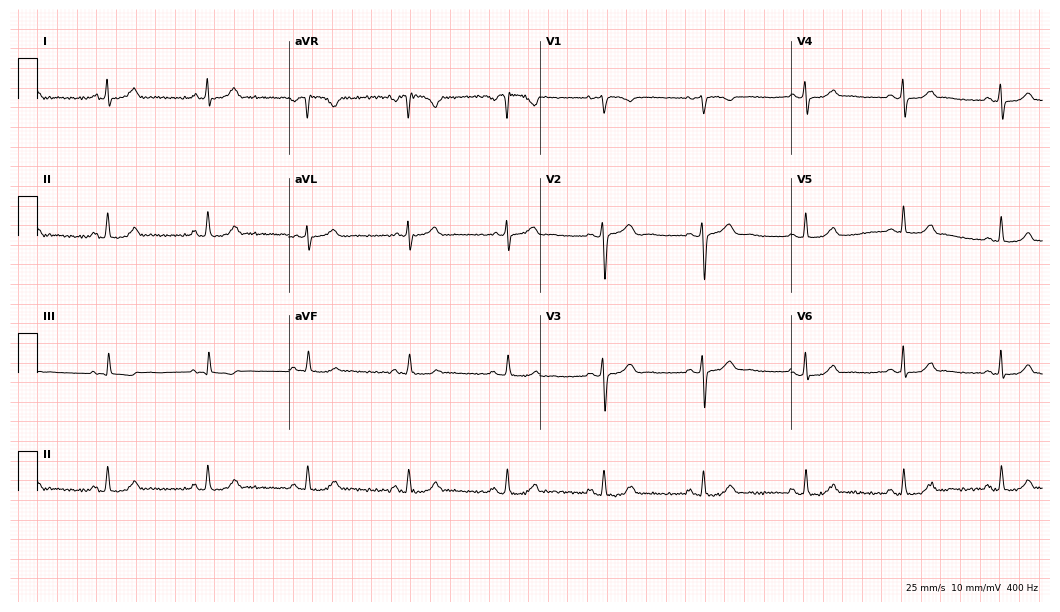
Standard 12-lead ECG recorded from a female patient, 39 years old (10.2-second recording at 400 Hz). Read as a normal ECG.